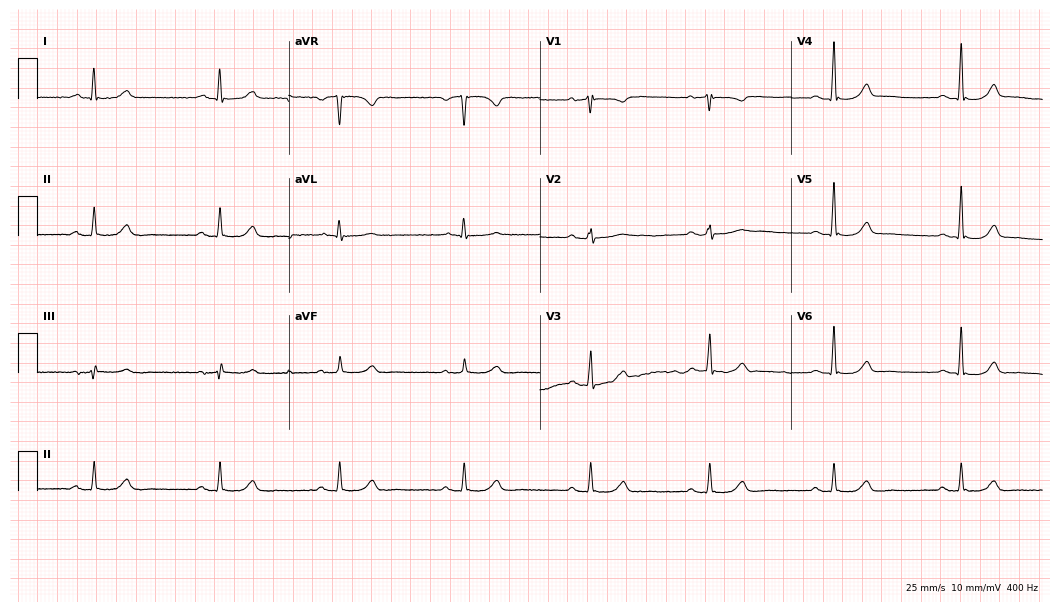
Resting 12-lead electrocardiogram. Patient: a female, 59 years old. The tracing shows sinus bradycardia (a sinus rate of 50 beats per minute or less).